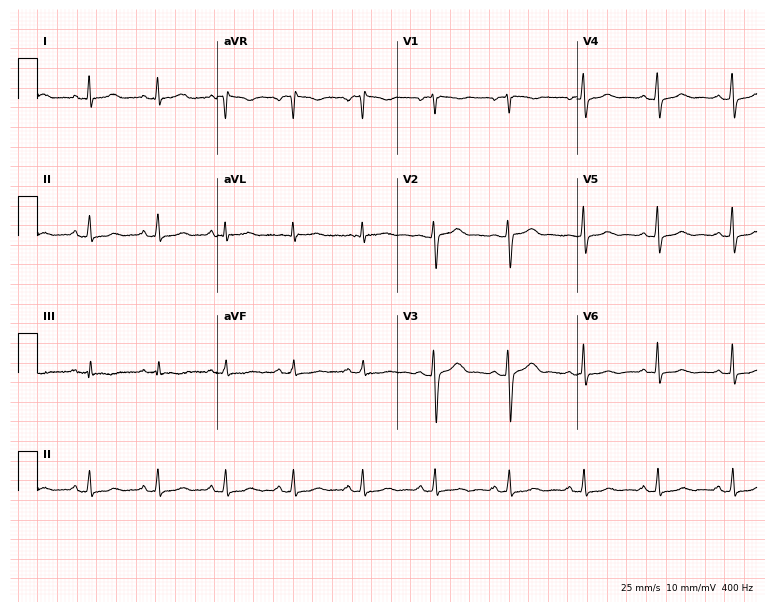
Standard 12-lead ECG recorded from a female patient, 40 years old (7.3-second recording at 400 Hz). None of these six findings is recorded: first-degree AV block, right bundle branch block, left bundle branch block, sinus bradycardia, atrial fibrillation, sinus tachycardia. Only these six findings were labelled.